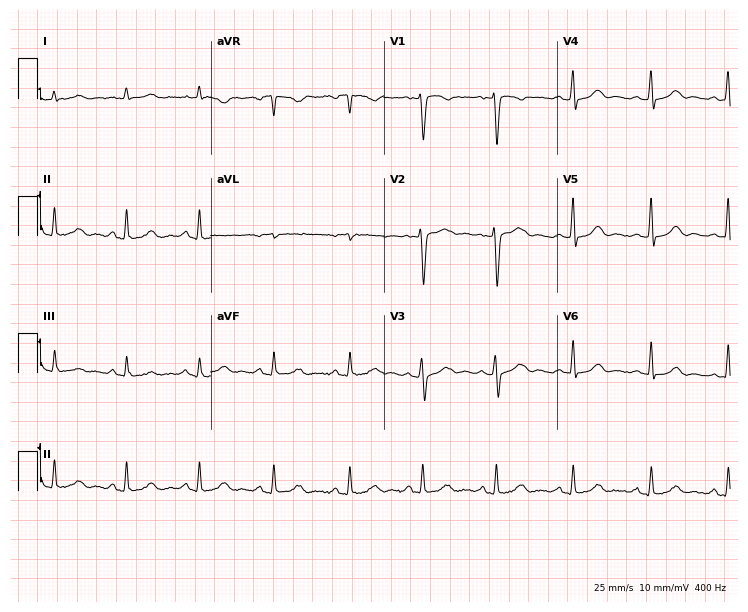
ECG — a 36-year-old female. Screened for six findings — first-degree AV block, right bundle branch block, left bundle branch block, sinus bradycardia, atrial fibrillation, sinus tachycardia — none is recorded. Only these six findings were labelled.